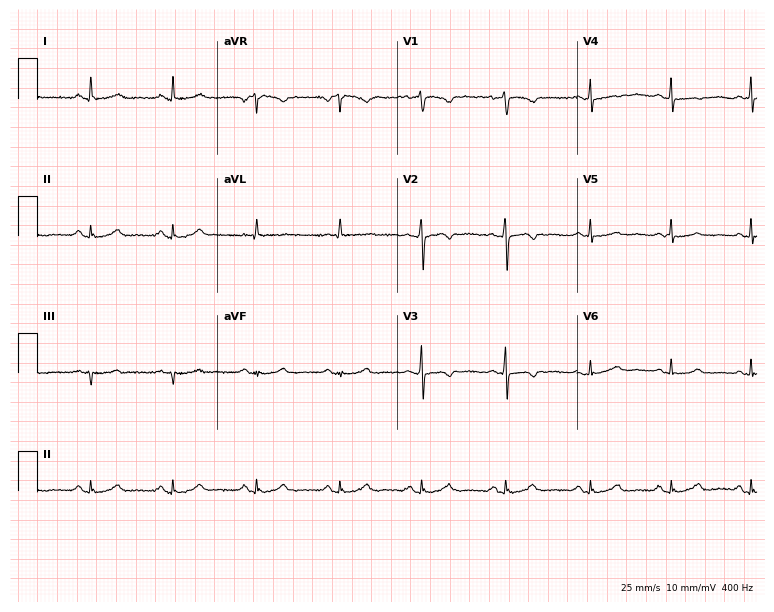
12-lead ECG (7.3-second recording at 400 Hz) from a 52-year-old woman. Screened for six findings — first-degree AV block, right bundle branch block, left bundle branch block, sinus bradycardia, atrial fibrillation, sinus tachycardia — none is recorded. Other findings, if any, are not listed.